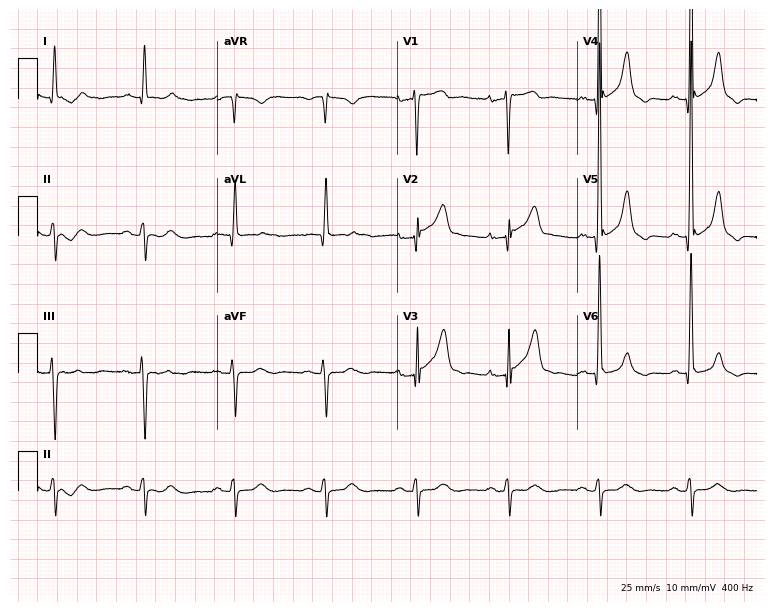
12-lead ECG from a 73-year-old man (7.3-second recording at 400 Hz). No first-degree AV block, right bundle branch block, left bundle branch block, sinus bradycardia, atrial fibrillation or sinus tachycardia recorded for this tracing.